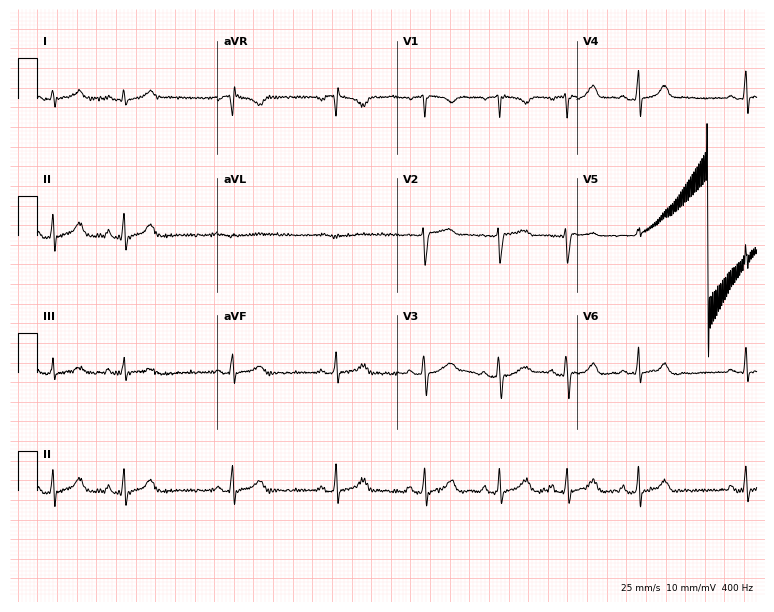
12-lead ECG from a woman, 21 years old. Labelled as a normal ECG.